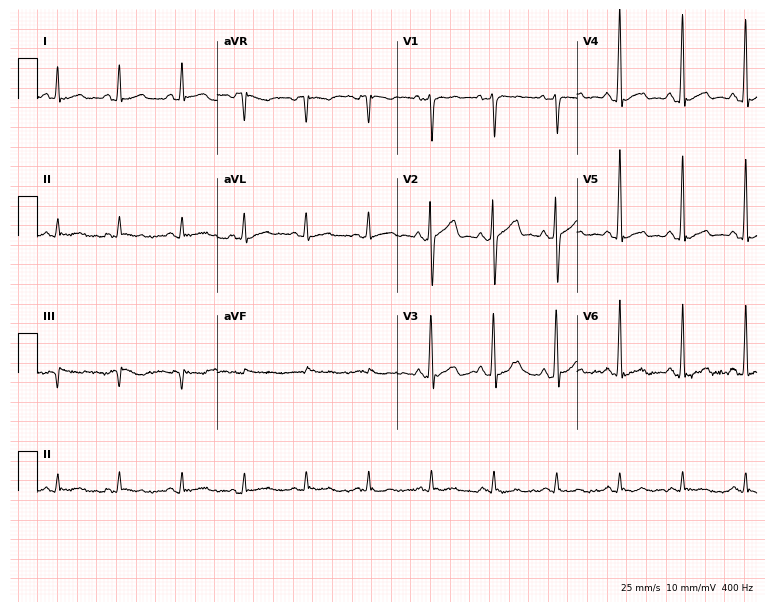
ECG — a male, 75 years old. Labelled as a normal ECG.